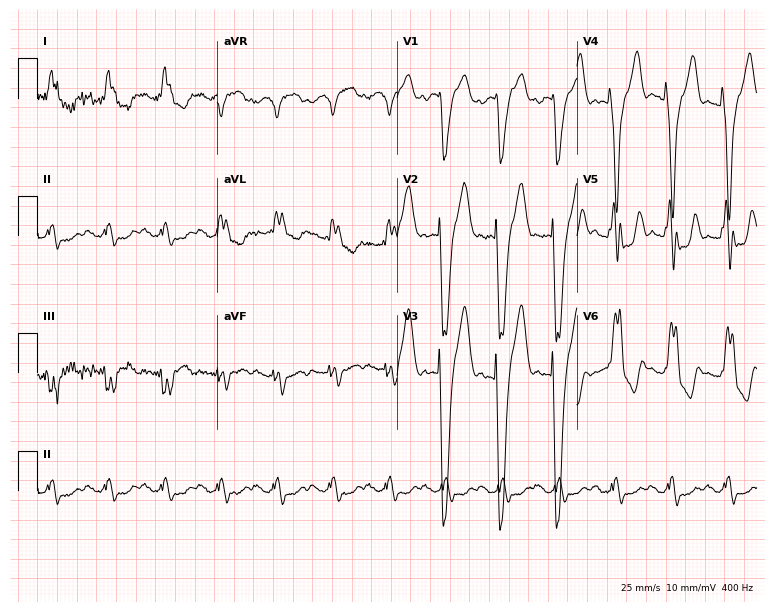
ECG (7.3-second recording at 400 Hz) — a male, 66 years old. Findings include left bundle branch block, sinus tachycardia (a sinus rate of 100 beats per minute or more).